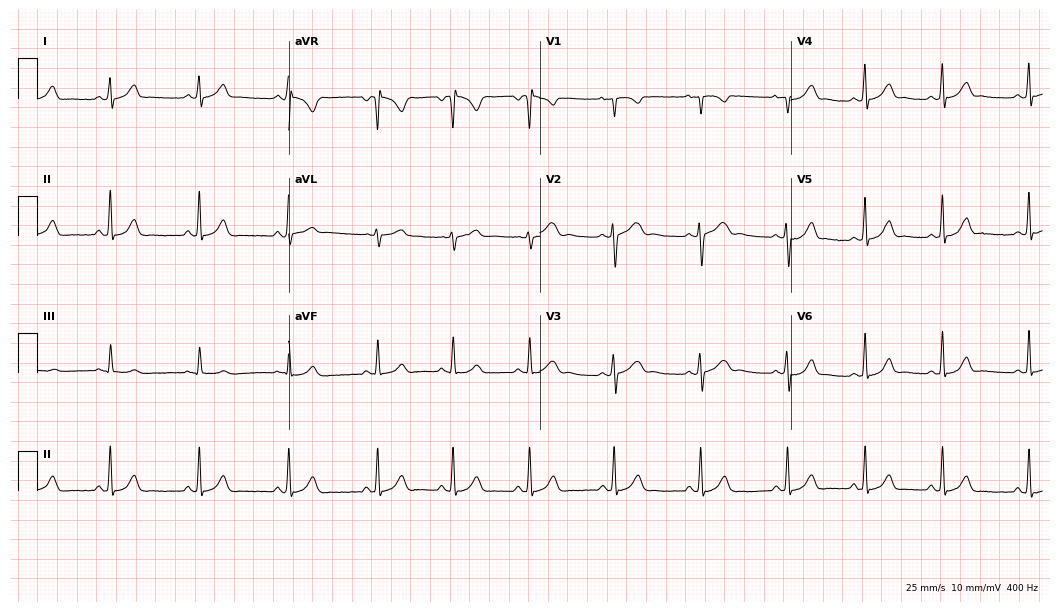
Electrocardiogram (10.2-second recording at 400 Hz), a female patient, 19 years old. Of the six screened findings (first-degree AV block, right bundle branch block (RBBB), left bundle branch block (LBBB), sinus bradycardia, atrial fibrillation (AF), sinus tachycardia), none is recorded. Other findings, if any, are not listed.